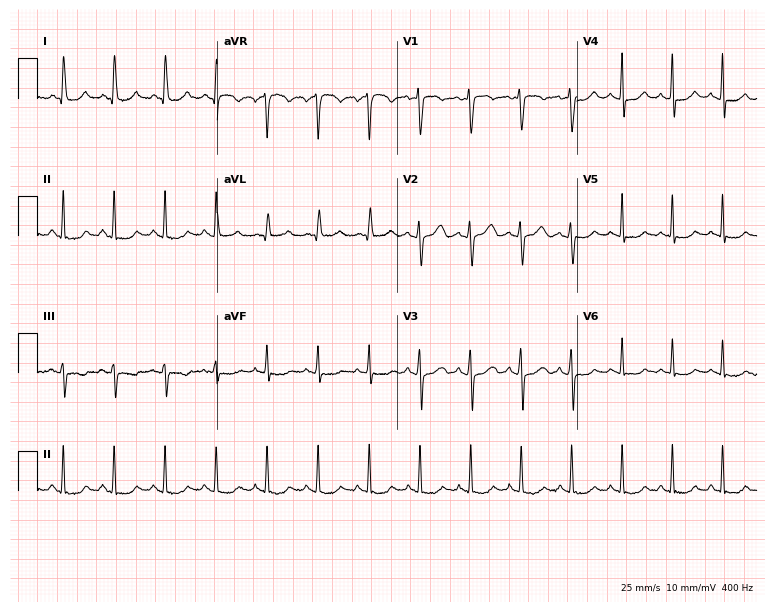
Standard 12-lead ECG recorded from a 45-year-old female. None of these six findings is recorded: first-degree AV block, right bundle branch block, left bundle branch block, sinus bradycardia, atrial fibrillation, sinus tachycardia. Only these six findings were labelled.